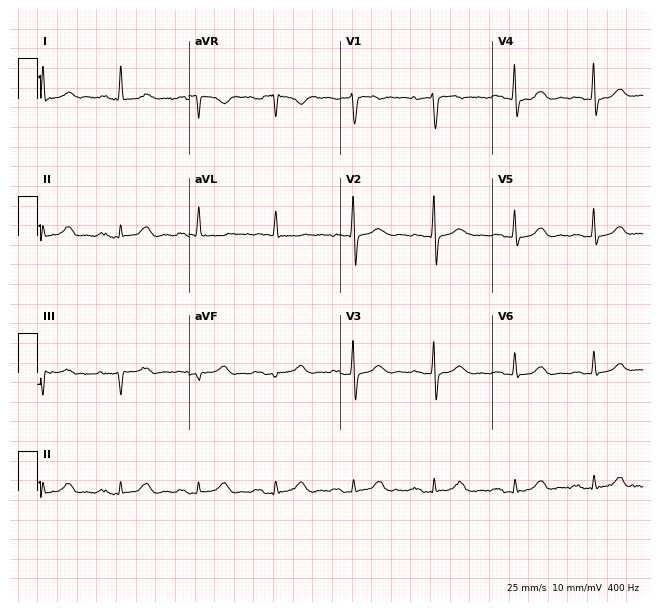
12-lead ECG from a female, 74 years old. Screened for six findings — first-degree AV block, right bundle branch block, left bundle branch block, sinus bradycardia, atrial fibrillation, sinus tachycardia — none is recorded. Only these six findings were labelled.